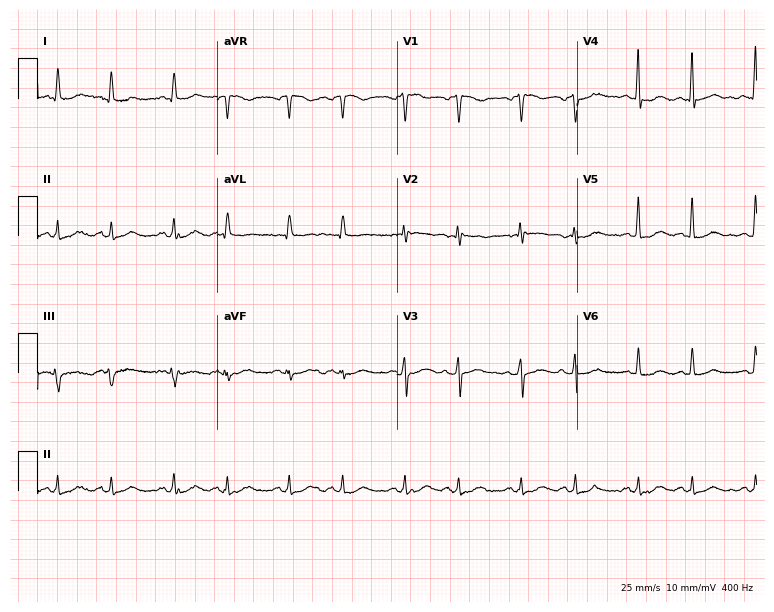
Standard 12-lead ECG recorded from an 81-year-old woman. None of these six findings is recorded: first-degree AV block, right bundle branch block (RBBB), left bundle branch block (LBBB), sinus bradycardia, atrial fibrillation (AF), sinus tachycardia. Findings outside these six are not listed.